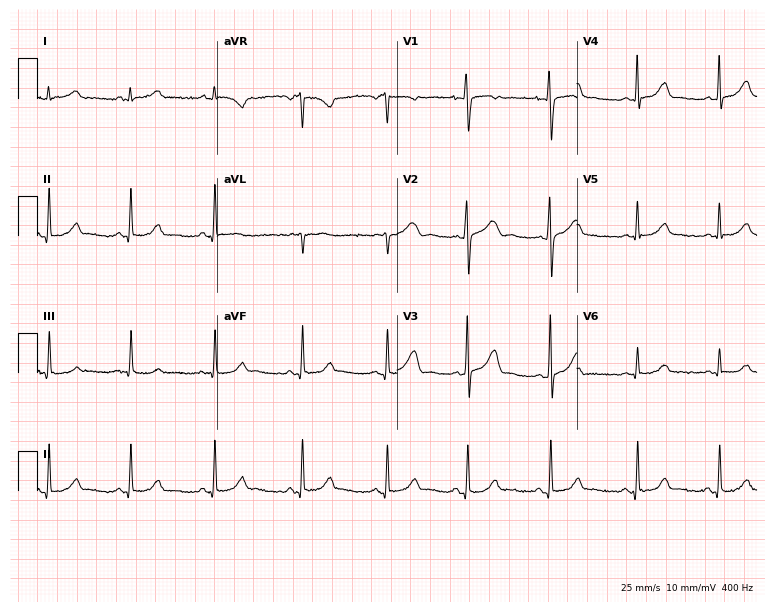
Electrocardiogram (7.3-second recording at 400 Hz), a 26-year-old woman. Overall reading on record: normal ECG.